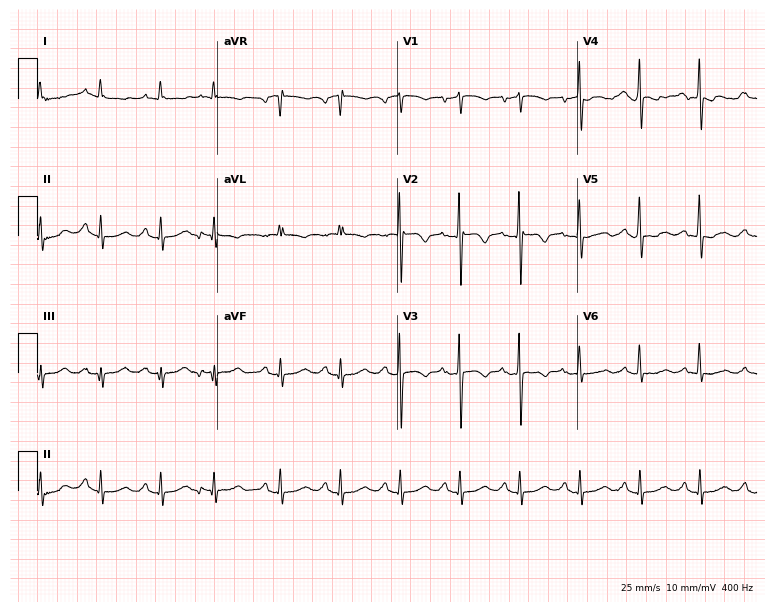
ECG (7.3-second recording at 400 Hz) — a female, 69 years old. Screened for six findings — first-degree AV block, right bundle branch block, left bundle branch block, sinus bradycardia, atrial fibrillation, sinus tachycardia — none is recorded.